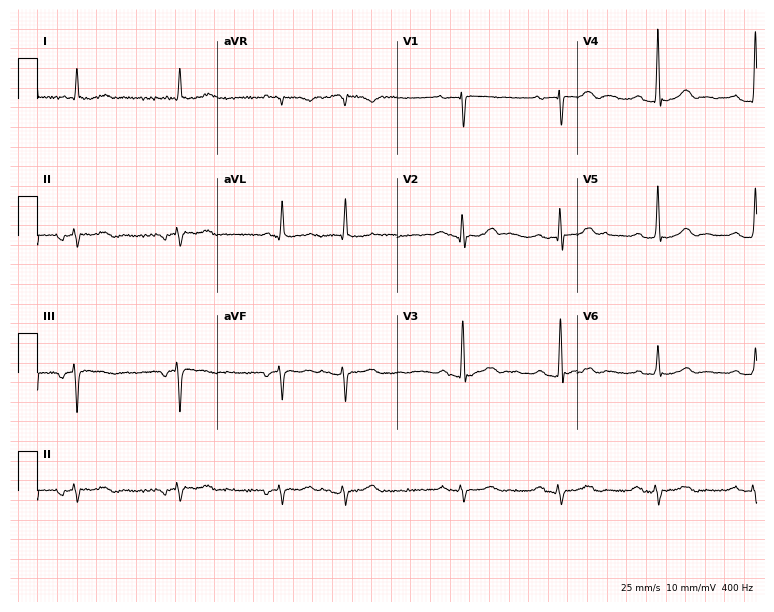
ECG (7.3-second recording at 400 Hz) — a male patient, 84 years old. Screened for six findings — first-degree AV block, right bundle branch block (RBBB), left bundle branch block (LBBB), sinus bradycardia, atrial fibrillation (AF), sinus tachycardia — none is recorded. Findings outside these six are not listed.